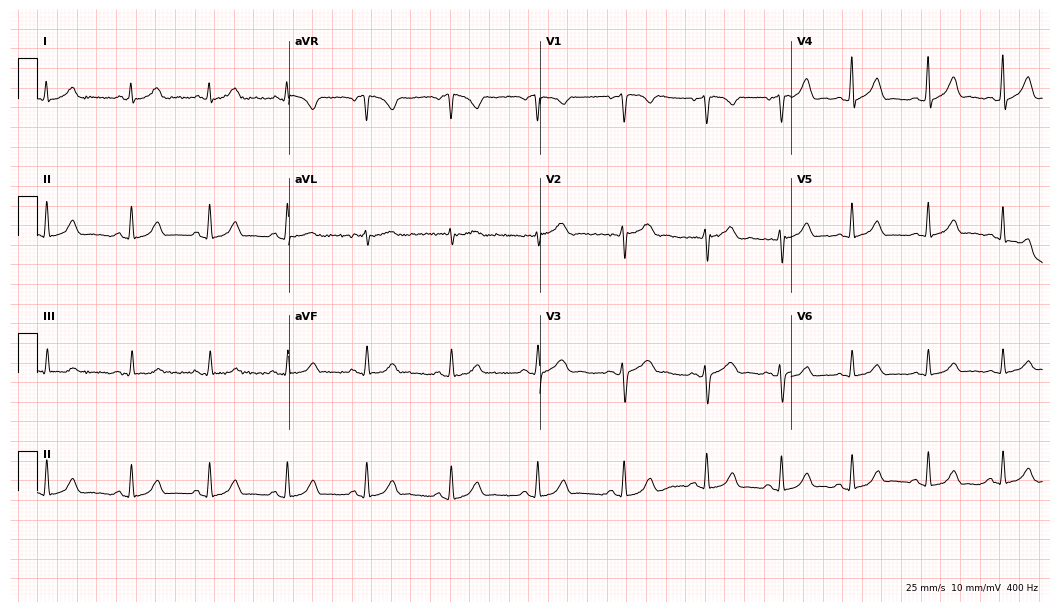
ECG (10.2-second recording at 400 Hz) — a female, 33 years old. Labelled as a normal ECG.